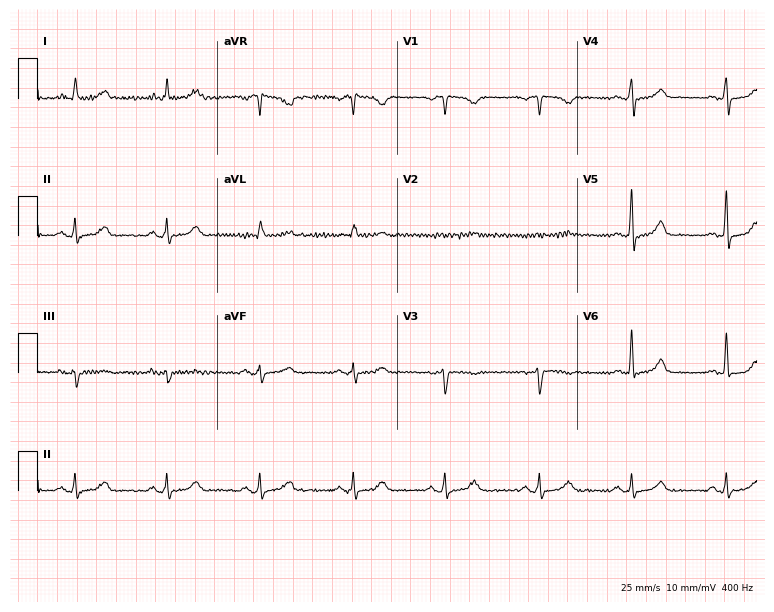
Standard 12-lead ECG recorded from a 58-year-old woman (7.3-second recording at 400 Hz). None of these six findings is recorded: first-degree AV block, right bundle branch block, left bundle branch block, sinus bradycardia, atrial fibrillation, sinus tachycardia. Other findings, if any, are not listed.